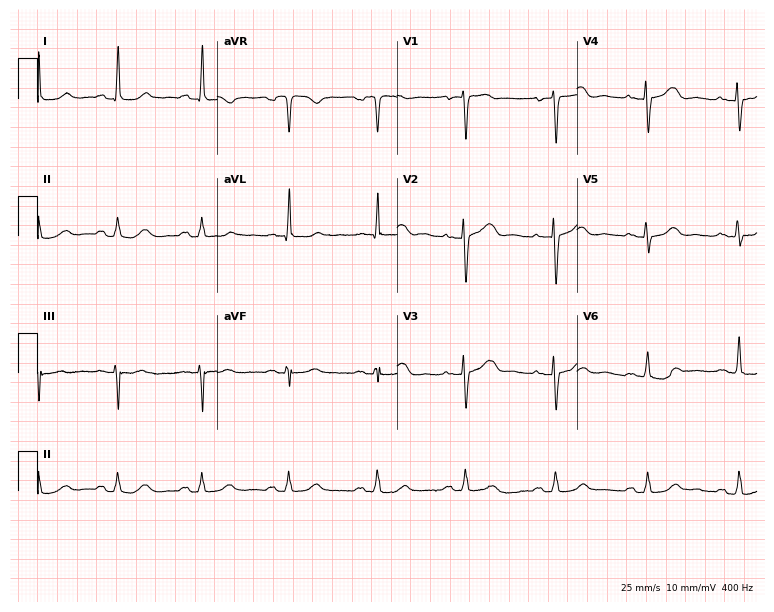
Electrocardiogram (7.3-second recording at 400 Hz), a female, 55 years old. Overall reading on record: normal ECG.